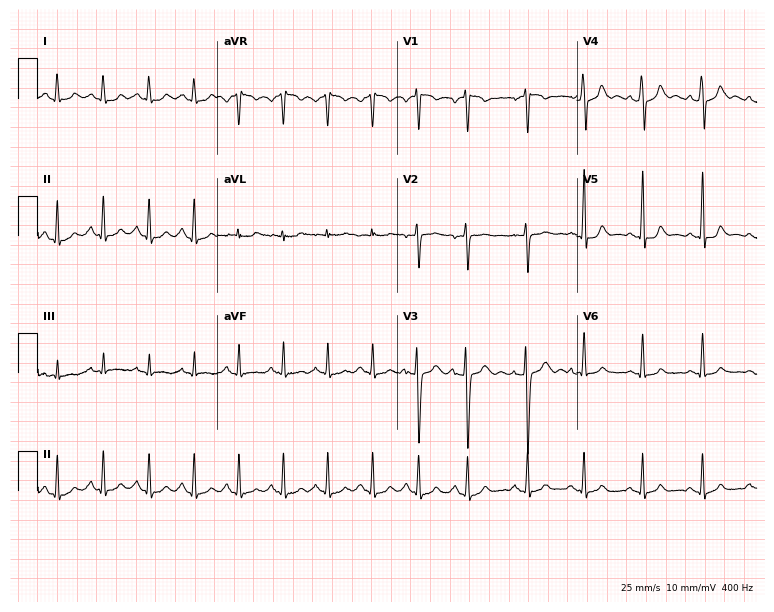
ECG (7.3-second recording at 400 Hz) — a female, 20 years old. Screened for six findings — first-degree AV block, right bundle branch block (RBBB), left bundle branch block (LBBB), sinus bradycardia, atrial fibrillation (AF), sinus tachycardia — none is recorded.